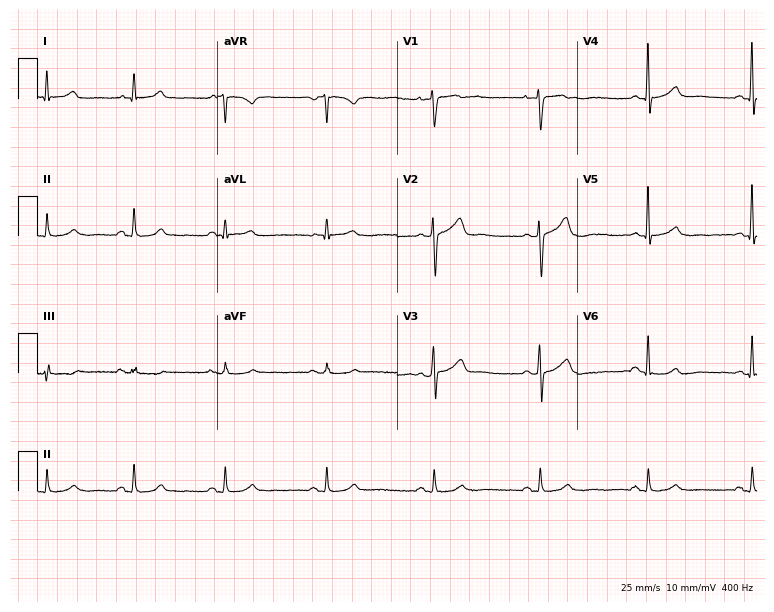
ECG — a woman, 64 years old. Labelled as a normal ECG.